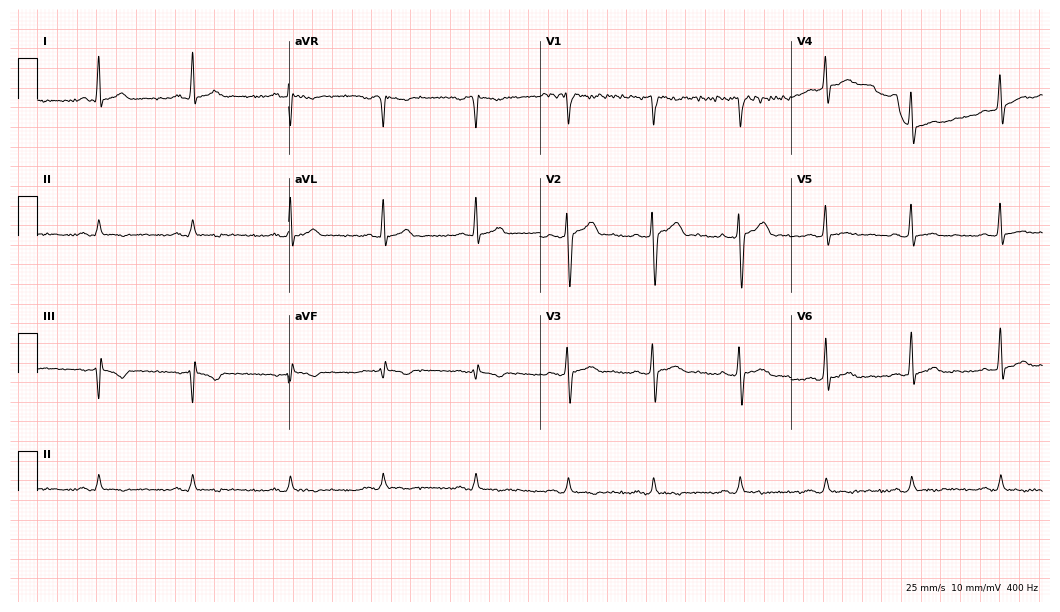
Resting 12-lead electrocardiogram (10.2-second recording at 400 Hz). Patient: a 36-year-old man. None of these six findings is recorded: first-degree AV block, right bundle branch block, left bundle branch block, sinus bradycardia, atrial fibrillation, sinus tachycardia. Findings outside these six are not listed.